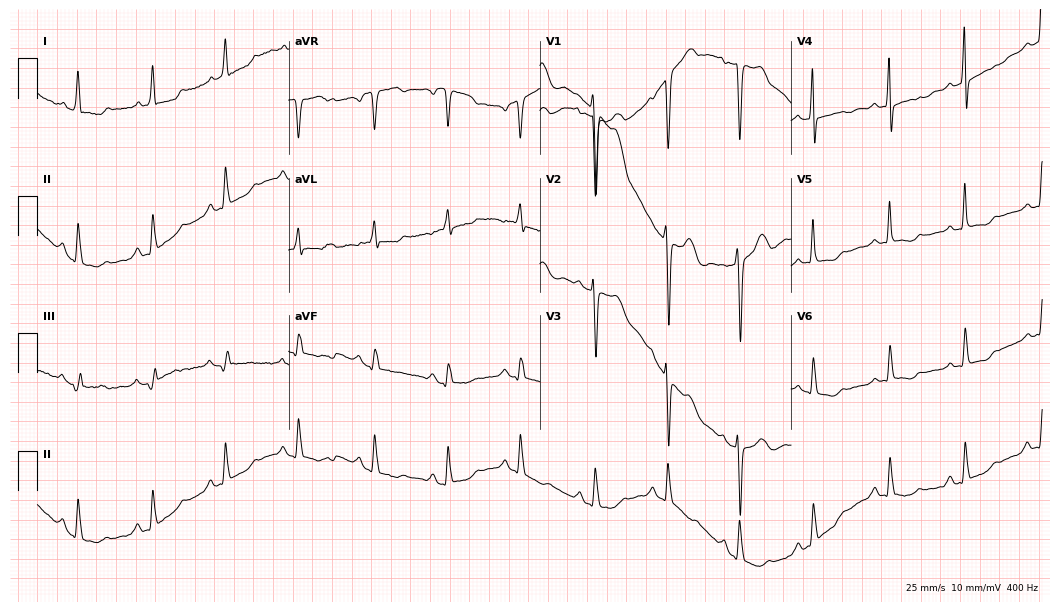
12-lead ECG from a 52-year-old female patient. Screened for six findings — first-degree AV block, right bundle branch block, left bundle branch block, sinus bradycardia, atrial fibrillation, sinus tachycardia — none is recorded. Other findings, if any, are not listed.